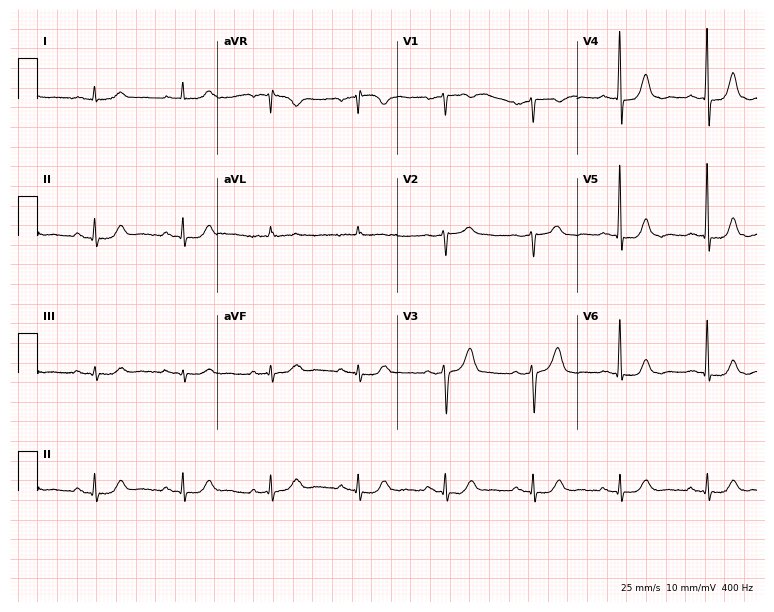
Standard 12-lead ECG recorded from a male, 77 years old. Read as a normal ECG.